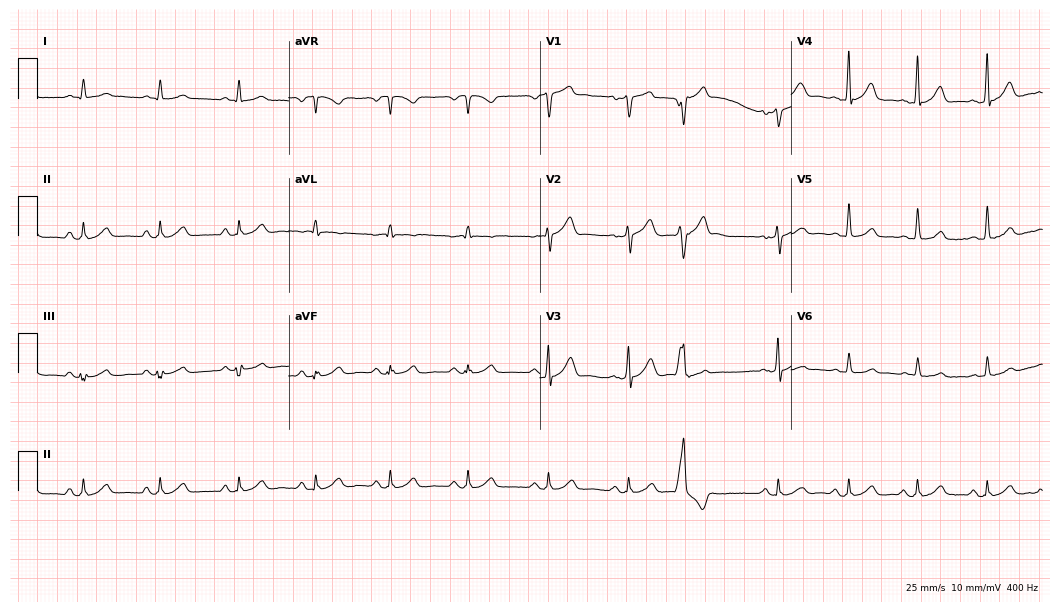
ECG — a 55-year-old man. Screened for six findings — first-degree AV block, right bundle branch block, left bundle branch block, sinus bradycardia, atrial fibrillation, sinus tachycardia — none is recorded. Findings outside these six are not listed.